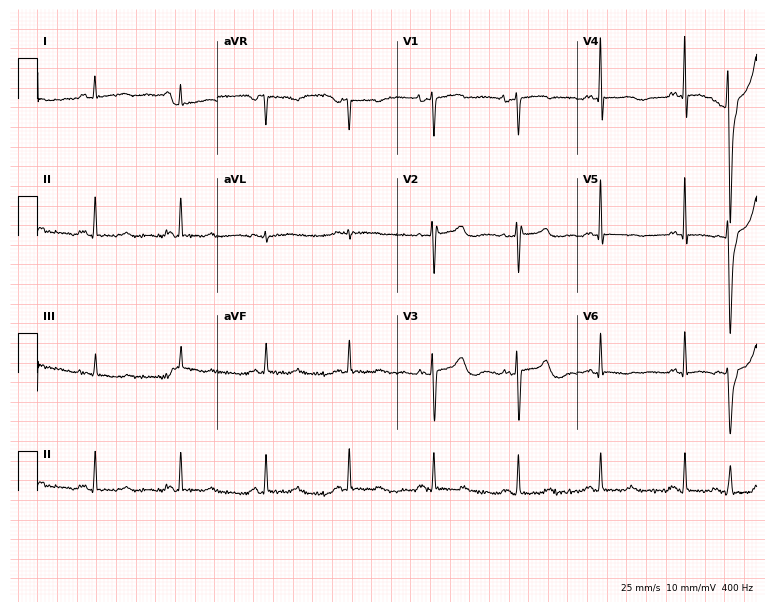
12-lead ECG from a woman, 54 years old (7.3-second recording at 400 Hz). No first-degree AV block, right bundle branch block, left bundle branch block, sinus bradycardia, atrial fibrillation or sinus tachycardia recorded for this tracing. Findings outside these six are not listed.